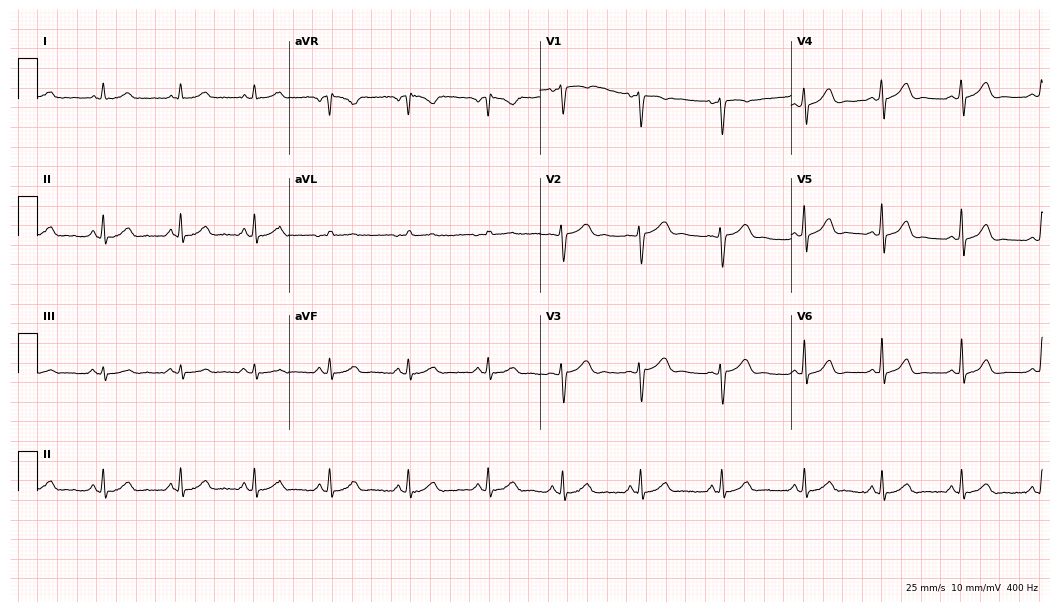
12-lead ECG (10.2-second recording at 400 Hz) from a woman, 39 years old. Labelled as a normal ECG.